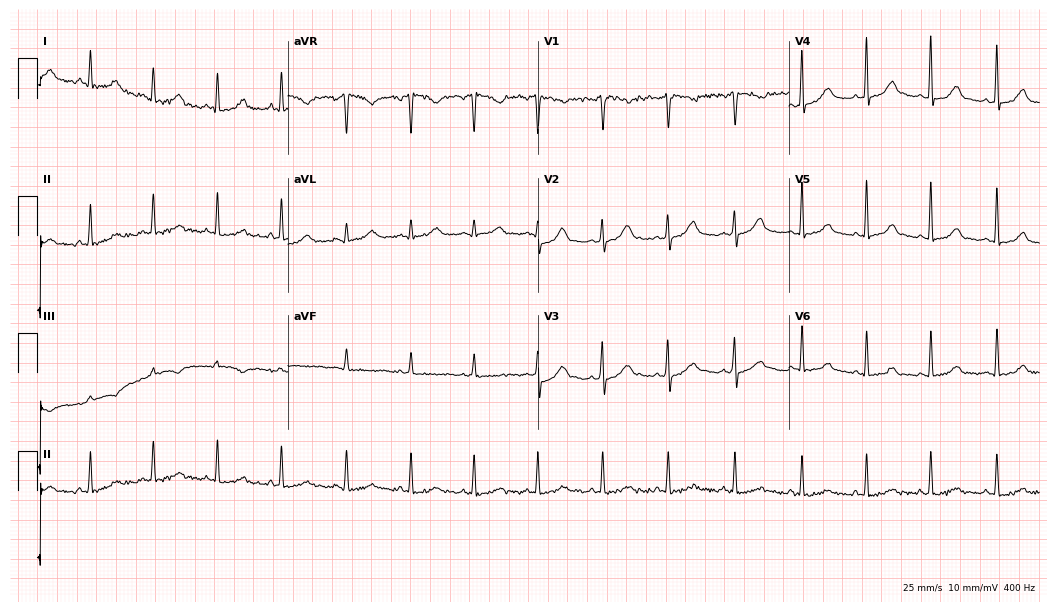
12-lead ECG from a 27-year-old female patient. Recorded interpretation: within normal limits.